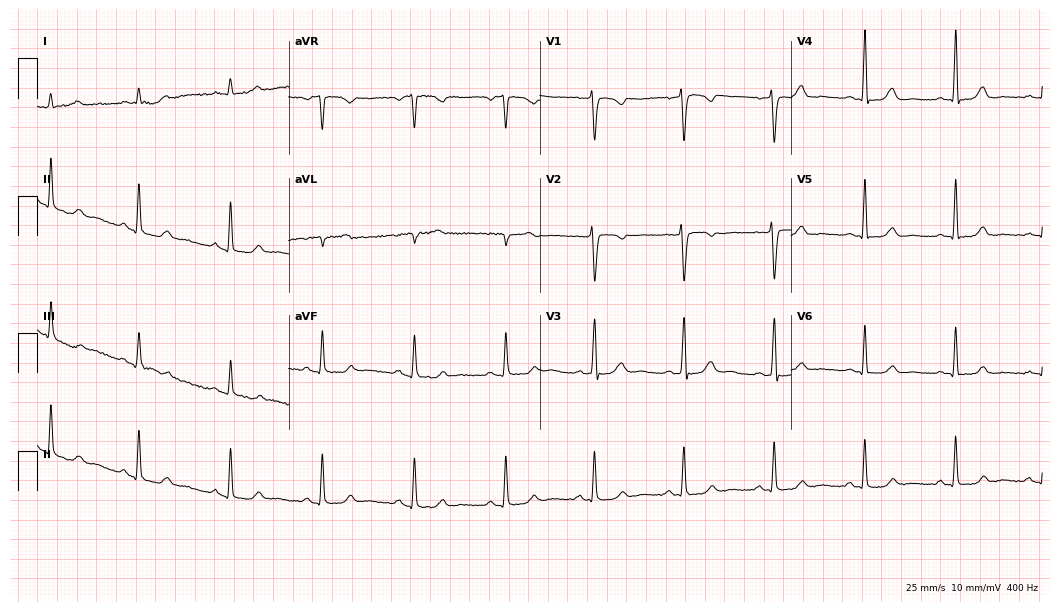
12-lead ECG from a female patient, 48 years old. Recorded interpretation: within normal limits.